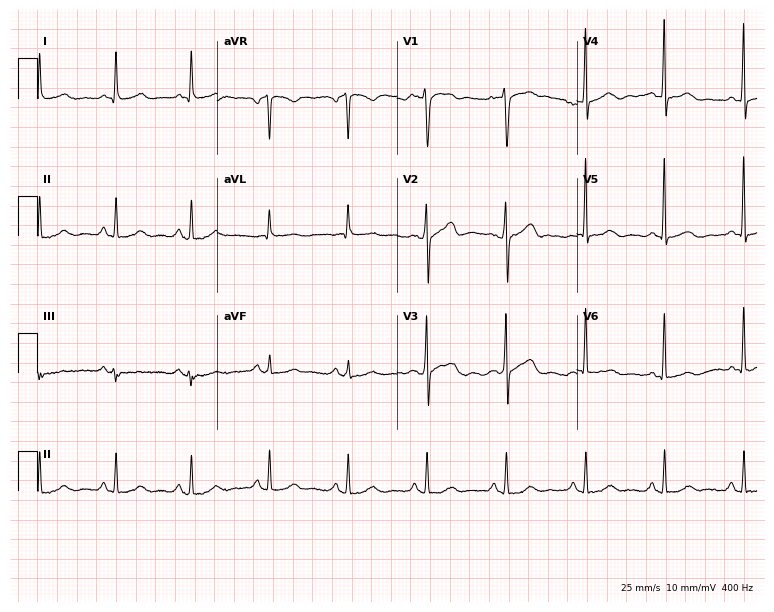
Electrocardiogram, a male, 67 years old. Of the six screened findings (first-degree AV block, right bundle branch block, left bundle branch block, sinus bradycardia, atrial fibrillation, sinus tachycardia), none is recorded.